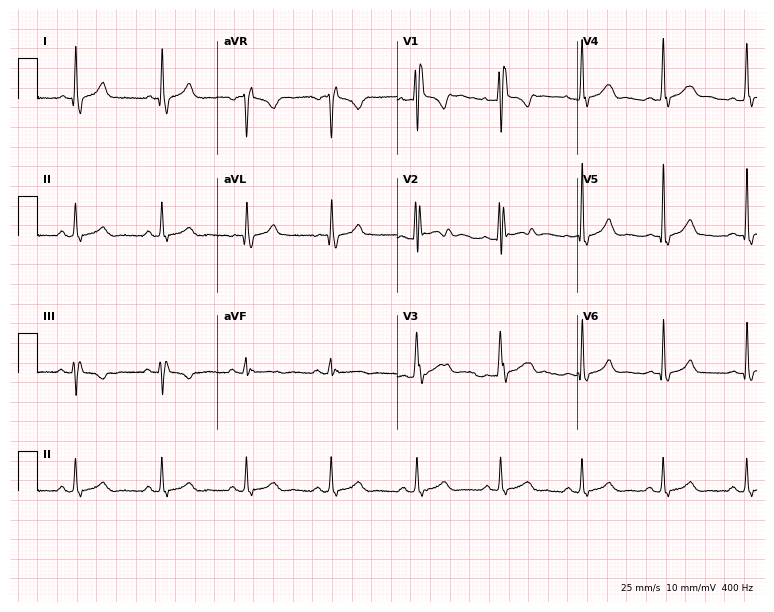
Electrocardiogram (7.3-second recording at 400 Hz), a 34-year-old female. Interpretation includes right bundle branch block.